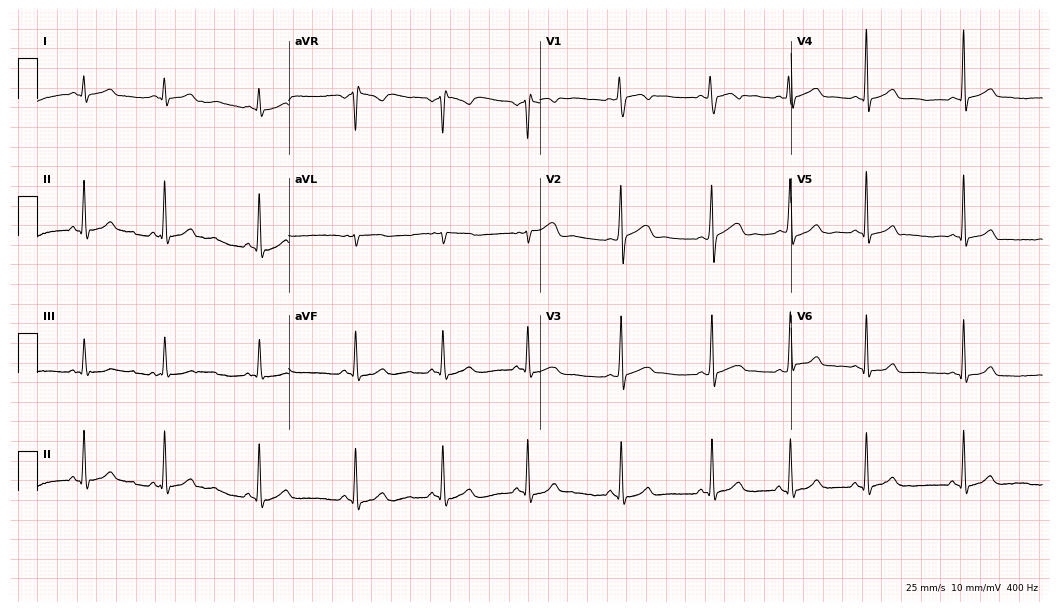
Standard 12-lead ECG recorded from a female patient, 22 years old. None of these six findings is recorded: first-degree AV block, right bundle branch block, left bundle branch block, sinus bradycardia, atrial fibrillation, sinus tachycardia. Findings outside these six are not listed.